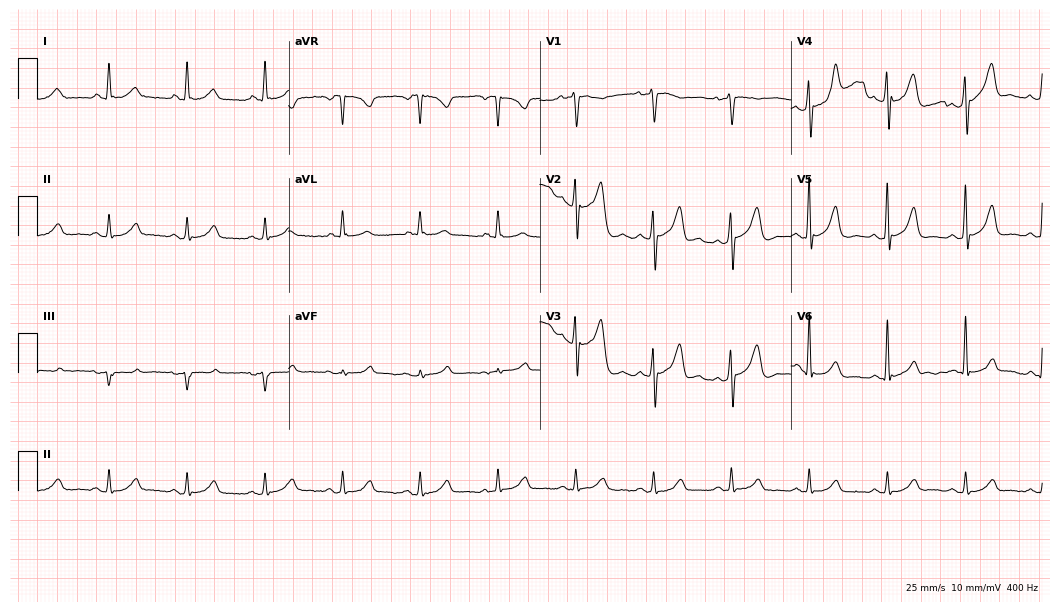
12-lead ECG from an 81-year-old male patient (10.2-second recording at 400 Hz). Recorded interpretation: within normal limits.